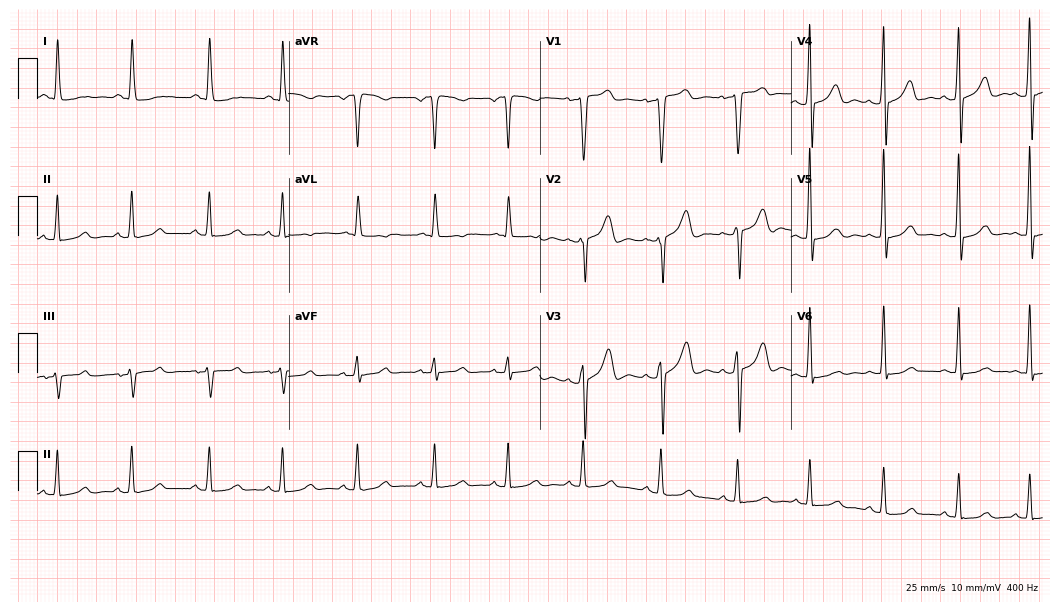
12-lead ECG from a 39-year-old female patient. Labelled as a normal ECG.